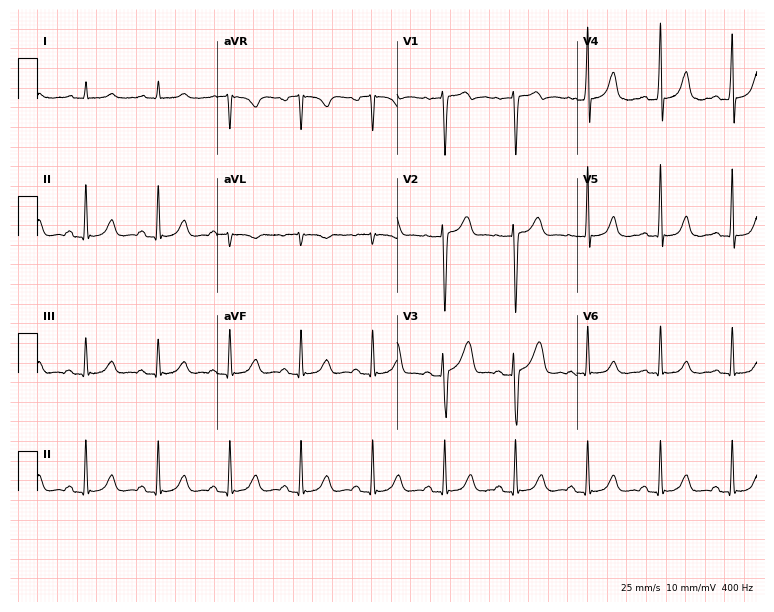
Electrocardiogram, a male patient, 56 years old. Overall reading on record: normal ECG.